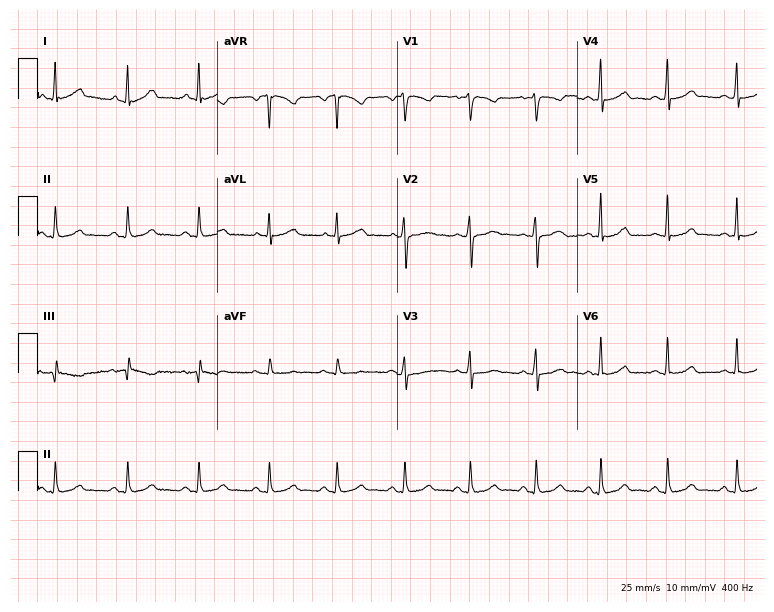
12-lead ECG from a woman, 40 years old. Recorded interpretation: within normal limits.